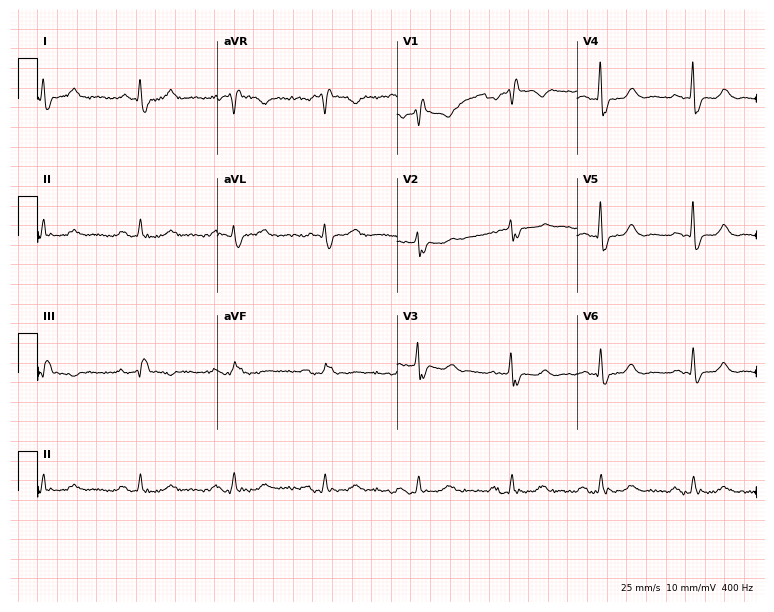
ECG (7.3-second recording at 400 Hz) — a man, 85 years old. Findings include right bundle branch block (RBBB).